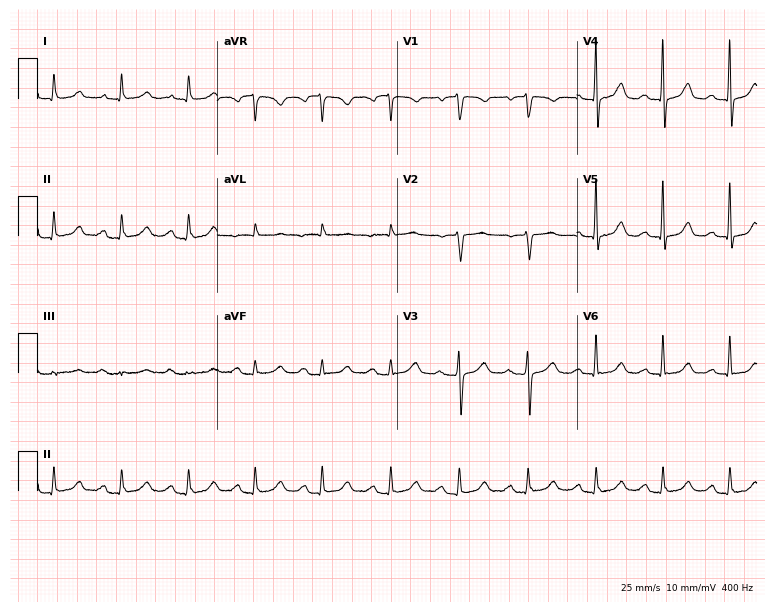
Resting 12-lead electrocardiogram (7.3-second recording at 400 Hz). Patient: a 75-year-old woman. The tracing shows first-degree AV block.